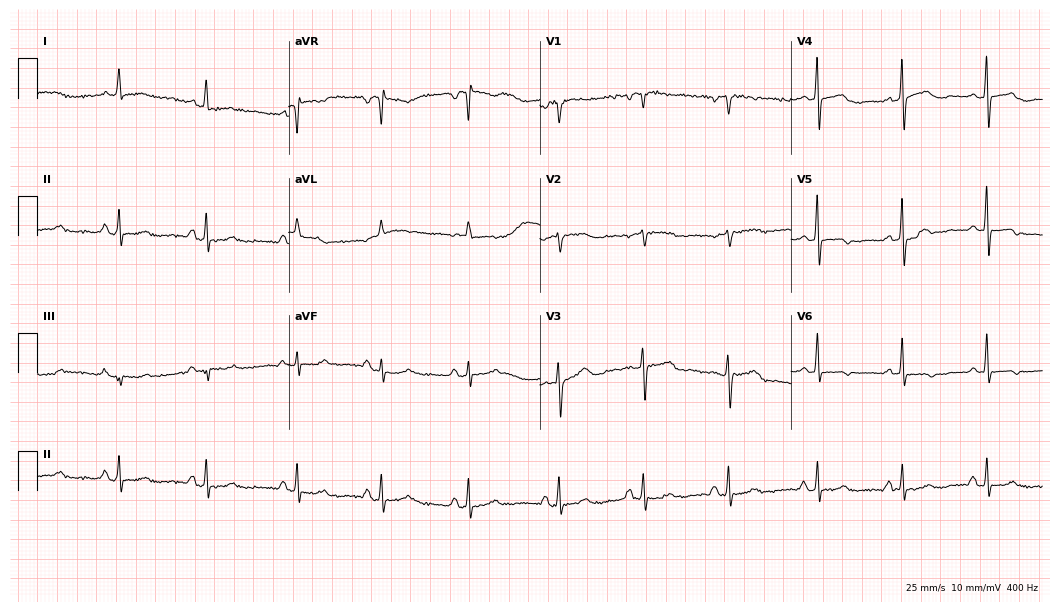
12-lead ECG (10.2-second recording at 400 Hz) from a woman, 70 years old. Labelled as a normal ECG.